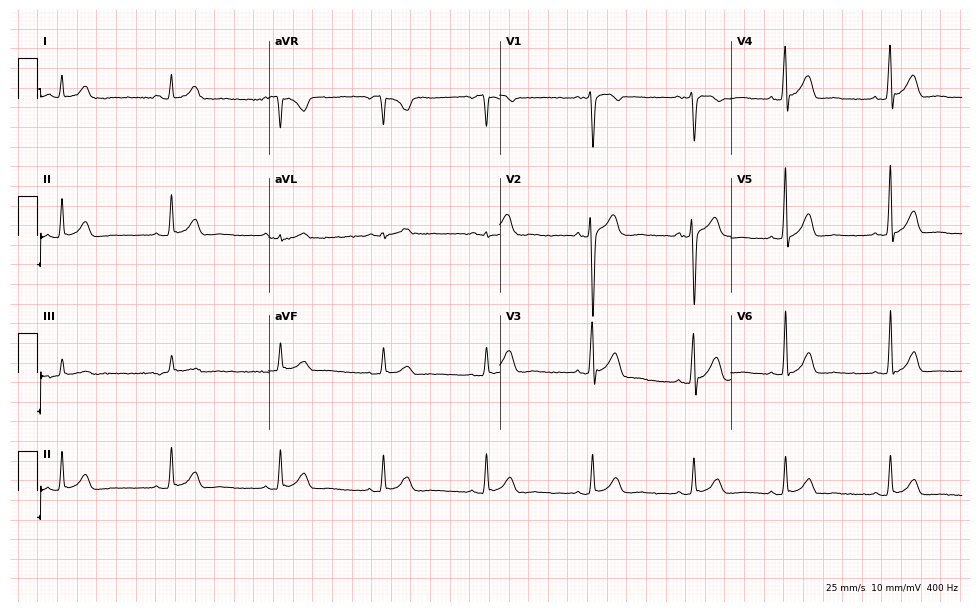
Electrocardiogram, a male patient, 36 years old. Of the six screened findings (first-degree AV block, right bundle branch block, left bundle branch block, sinus bradycardia, atrial fibrillation, sinus tachycardia), none is recorded.